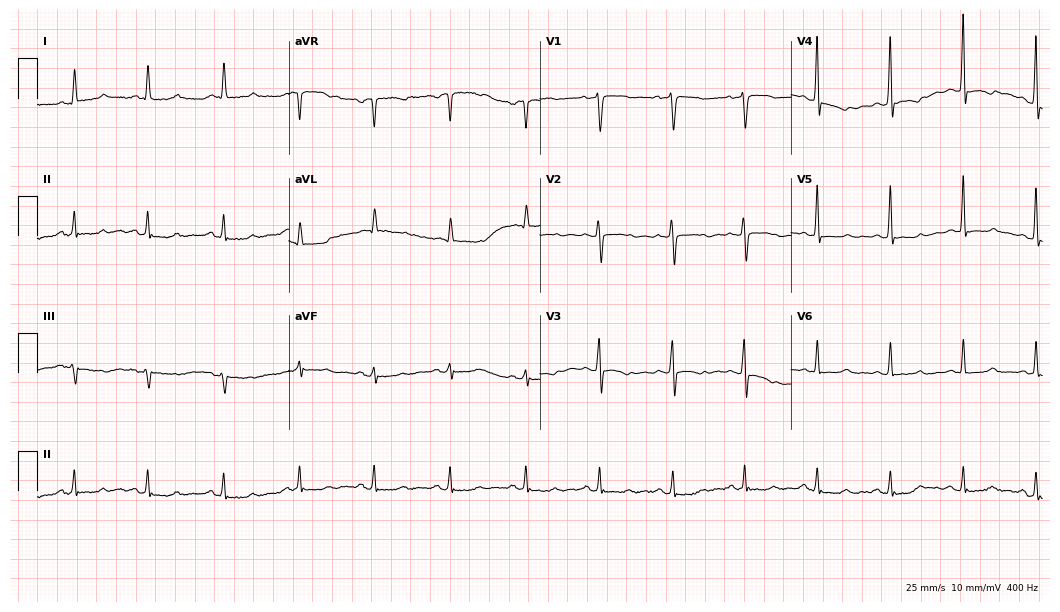
ECG (10.2-second recording at 400 Hz) — a woman, 69 years old. Screened for six findings — first-degree AV block, right bundle branch block (RBBB), left bundle branch block (LBBB), sinus bradycardia, atrial fibrillation (AF), sinus tachycardia — none is recorded. Only these six findings were labelled.